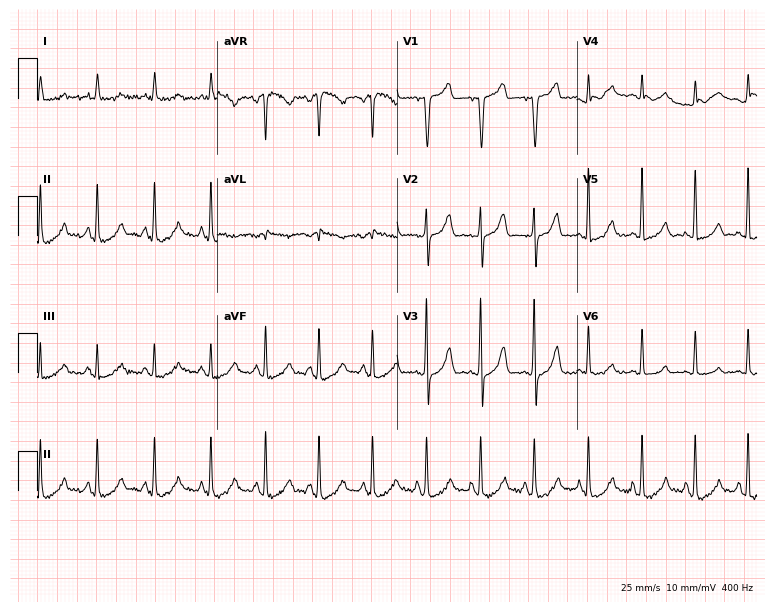
12-lead ECG (7.3-second recording at 400 Hz) from a woman, 69 years old. Findings include sinus tachycardia (a sinus rate of 100 beats per minute or more).